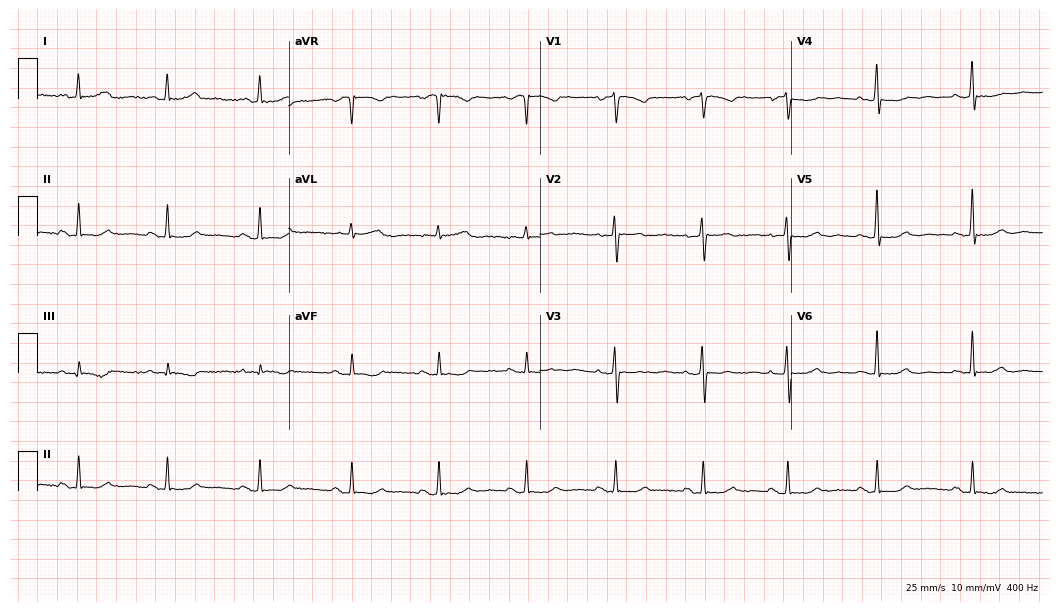
12-lead ECG from a female patient, 75 years old (10.2-second recording at 400 Hz). No first-degree AV block, right bundle branch block, left bundle branch block, sinus bradycardia, atrial fibrillation or sinus tachycardia recorded for this tracing. Only these six findings were labelled.